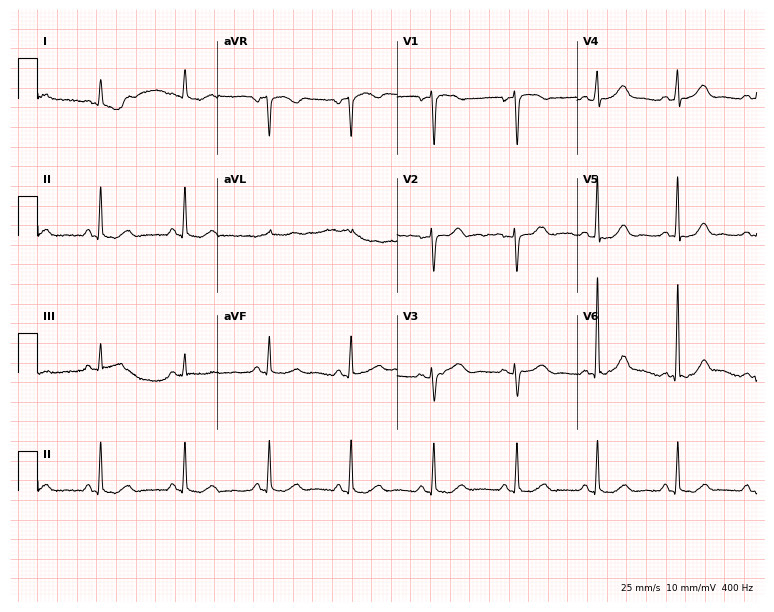
ECG — a 75-year-old female. Screened for six findings — first-degree AV block, right bundle branch block, left bundle branch block, sinus bradycardia, atrial fibrillation, sinus tachycardia — none is recorded. Only these six findings were labelled.